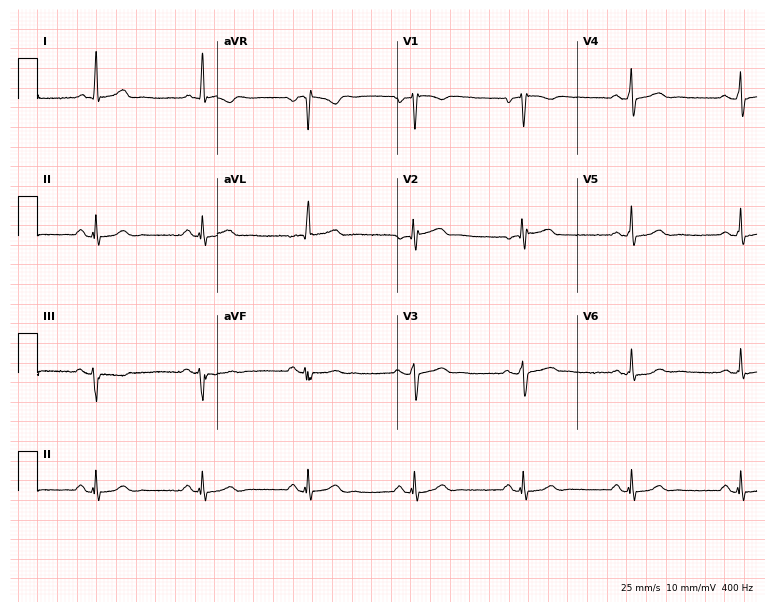
12-lead ECG from a male, 50 years old (7.3-second recording at 400 Hz). Recorded interpretation: within normal limits.